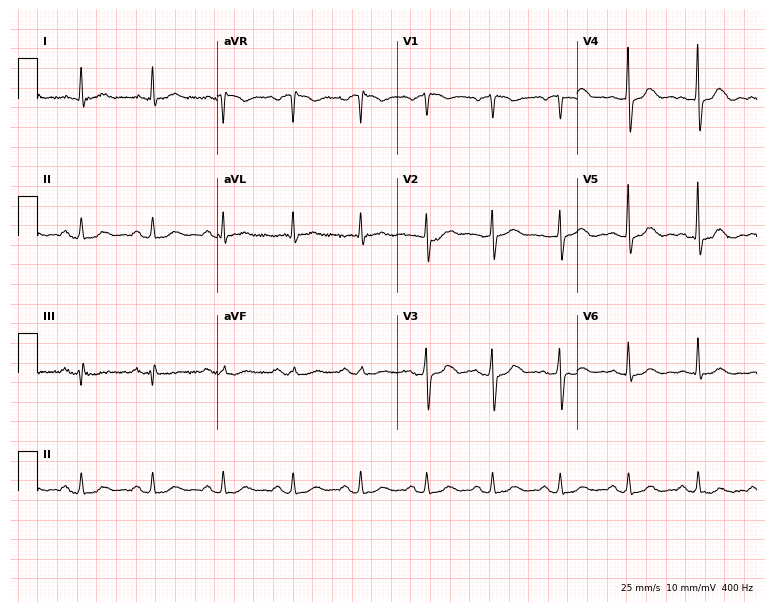
12-lead ECG from a 64-year-old man. Labelled as a normal ECG.